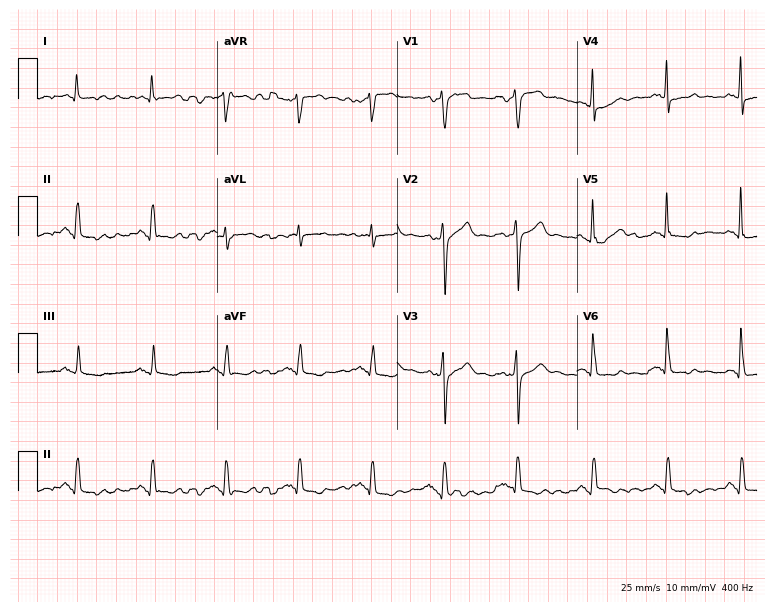
12-lead ECG from a male patient, 56 years old. No first-degree AV block, right bundle branch block, left bundle branch block, sinus bradycardia, atrial fibrillation or sinus tachycardia recorded for this tracing. Other findings, if any, are not listed.